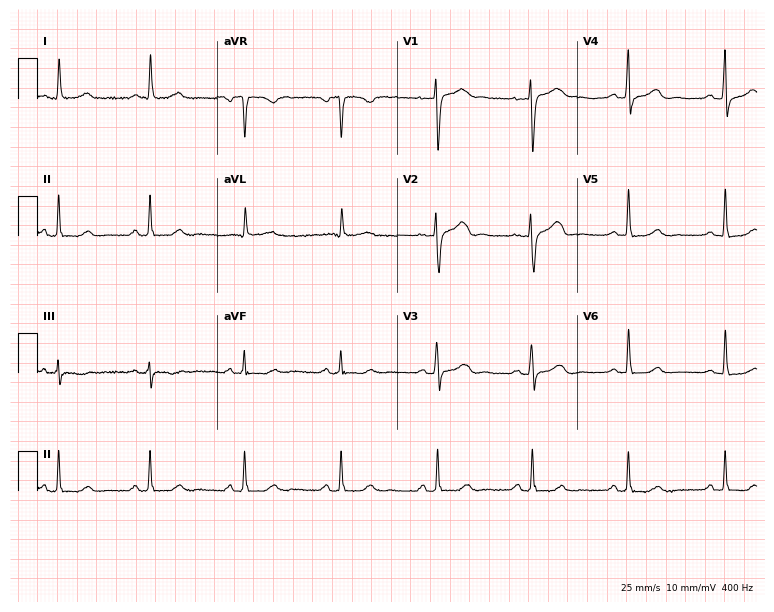
Resting 12-lead electrocardiogram. Patient: a 67-year-old female. Read as a normal ECG.